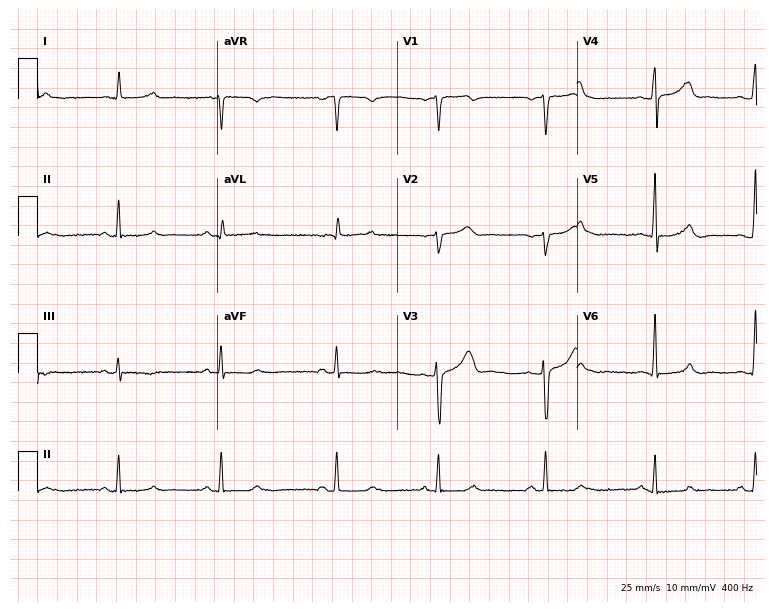
Standard 12-lead ECG recorded from a 52-year-old male patient (7.3-second recording at 400 Hz). None of these six findings is recorded: first-degree AV block, right bundle branch block, left bundle branch block, sinus bradycardia, atrial fibrillation, sinus tachycardia. Other findings, if any, are not listed.